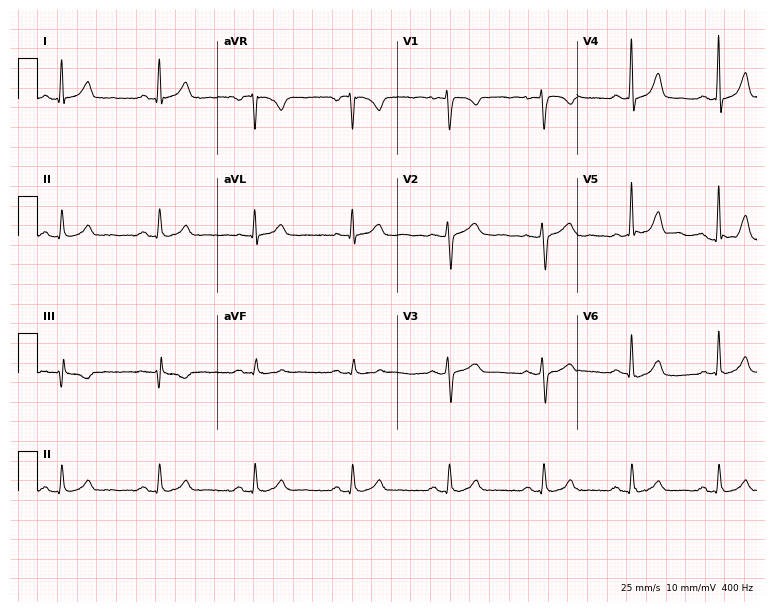
12-lead ECG from a 35-year-old woman. Screened for six findings — first-degree AV block, right bundle branch block, left bundle branch block, sinus bradycardia, atrial fibrillation, sinus tachycardia — none is recorded. Findings outside these six are not listed.